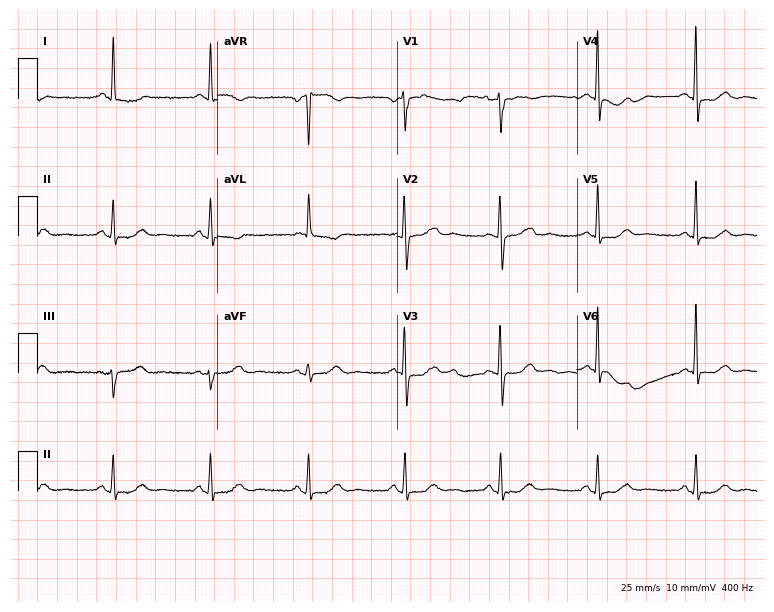
ECG (7.3-second recording at 400 Hz) — a female patient, 82 years old. Screened for six findings — first-degree AV block, right bundle branch block (RBBB), left bundle branch block (LBBB), sinus bradycardia, atrial fibrillation (AF), sinus tachycardia — none is recorded. Other findings, if any, are not listed.